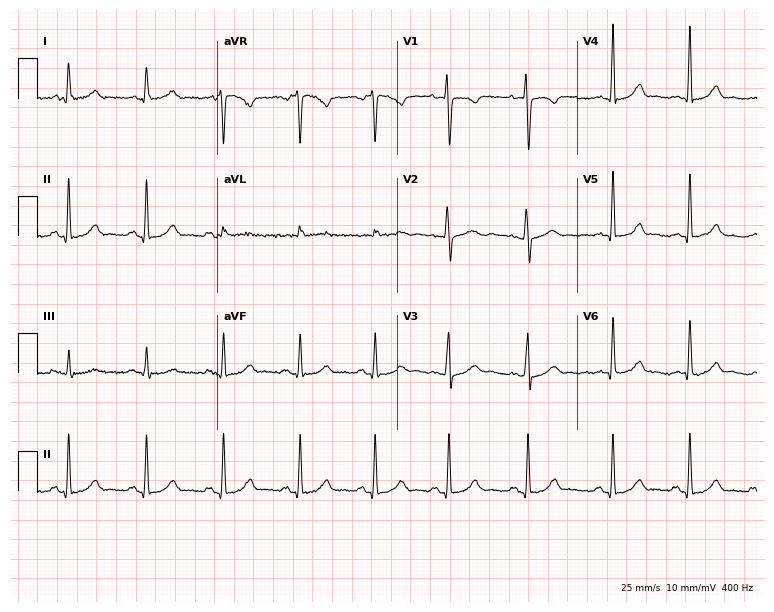
12-lead ECG (7.3-second recording at 400 Hz) from a woman, 37 years old. Screened for six findings — first-degree AV block, right bundle branch block, left bundle branch block, sinus bradycardia, atrial fibrillation, sinus tachycardia — none is recorded. Other findings, if any, are not listed.